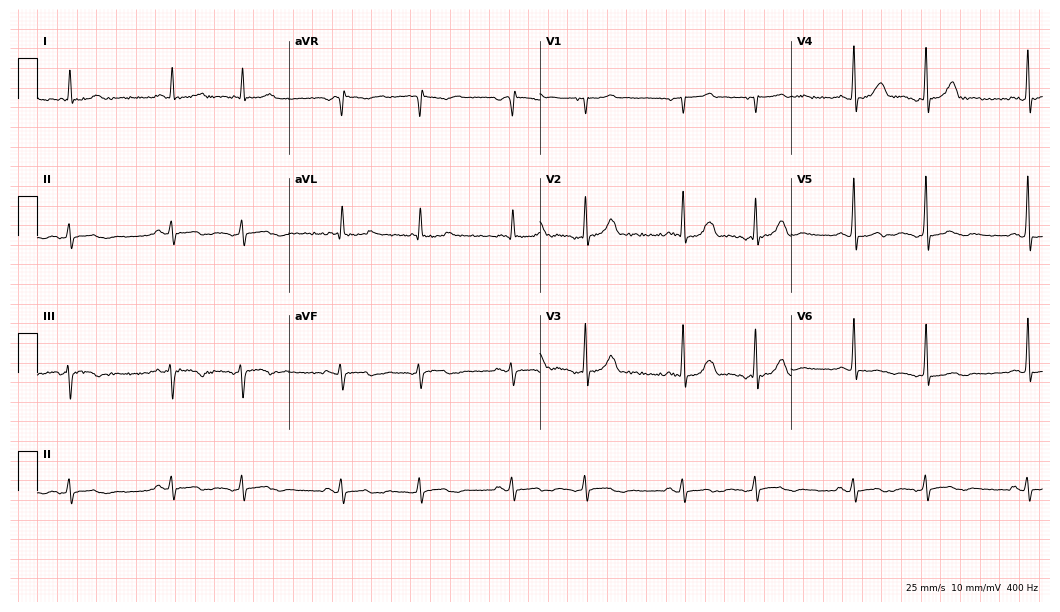
ECG (10.2-second recording at 400 Hz) — a male patient, 60 years old. Screened for six findings — first-degree AV block, right bundle branch block, left bundle branch block, sinus bradycardia, atrial fibrillation, sinus tachycardia — none is recorded.